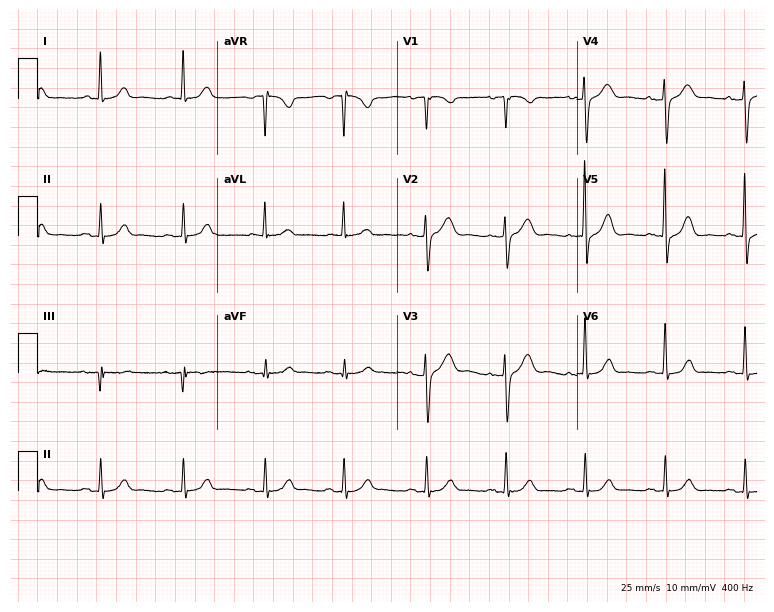
Electrocardiogram (7.3-second recording at 400 Hz), a 68-year-old woman. Of the six screened findings (first-degree AV block, right bundle branch block, left bundle branch block, sinus bradycardia, atrial fibrillation, sinus tachycardia), none is recorded. Findings outside these six are not listed.